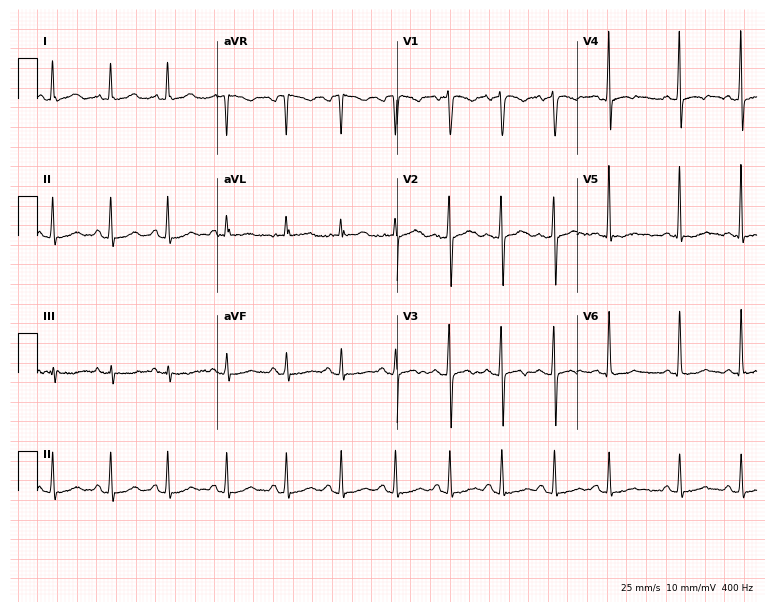
Electrocardiogram, a woman, 27 years old. Interpretation includes sinus tachycardia (a sinus rate of 100 beats per minute or more).